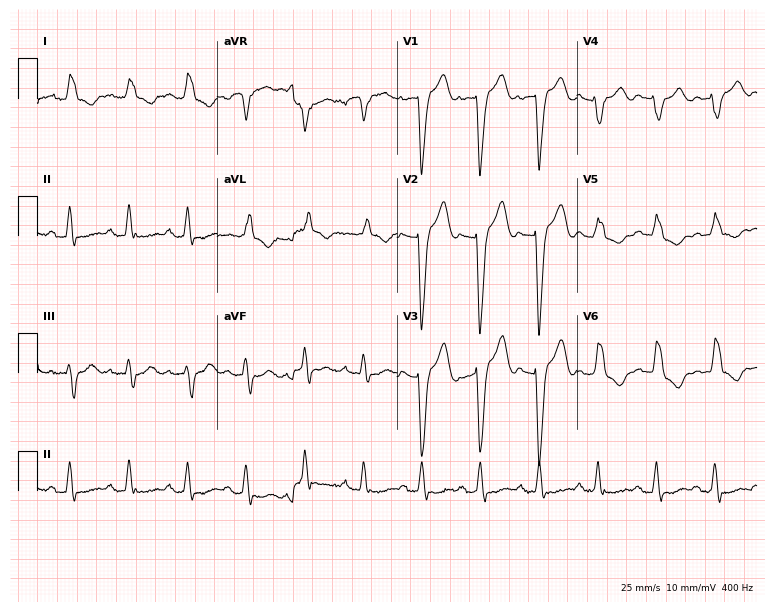
Resting 12-lead electrocardiogram (7.3-second recording at 400 Hz). Patient: an 83-year-old female. The tracing shows left bundle branch block, sinus tachycardia (a sinus rate of 100 beats per minute or more).